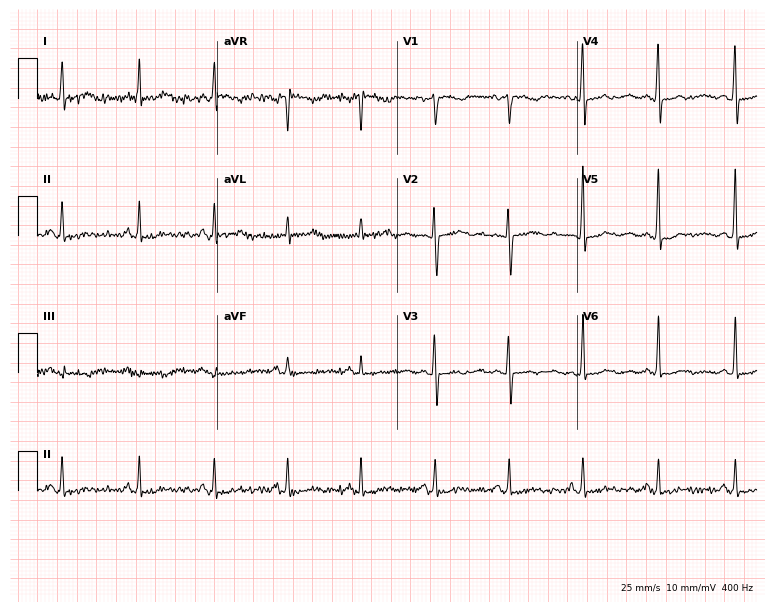
Electrocardiogram (7.3-second recording at 400 Hz), a 63-year-old female. Of the six screened findings (first-degree AV block, right bundle branch block (RBBB), left bundle branch block (LBBB), sinus bradycardia, atrial fibrillation (AF), sinus tachycardia), none is recorded.